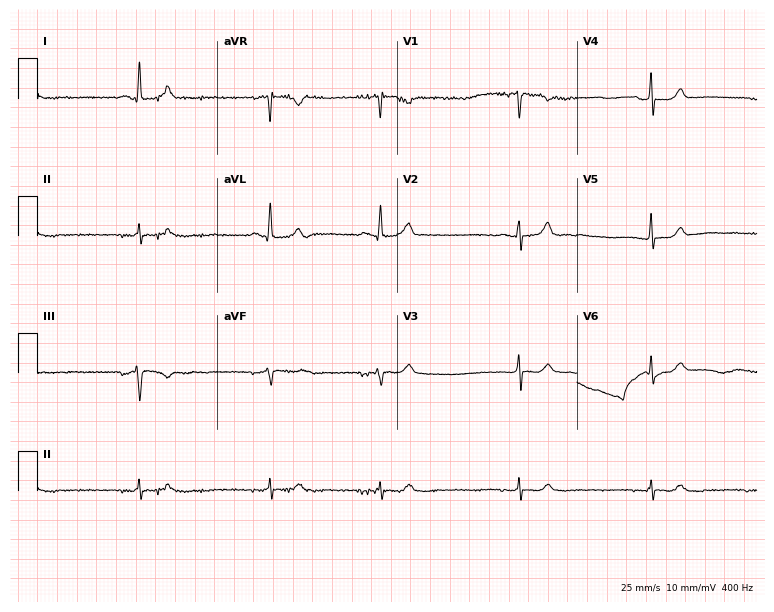
Resting 12-lead electrocardiogram. Patient: a woman, 60 years old. None of these six findings is recorded: first-degree AV block, right bundle branch block, left bundle branch block, sinus bradycardia, atrial fibrillation, sinus tachycardia.